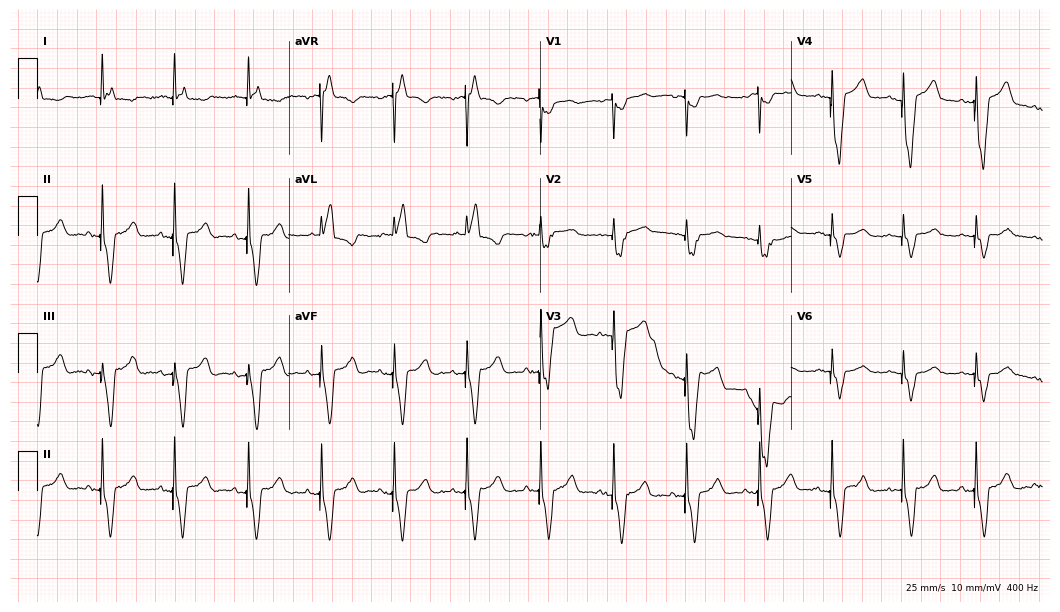
Electrocardiogram, an 83-year-old male. Of the six screened findings (first-degree AV block, right bundle branch block, left bundle branch block, sinus bradycardia, atrial fibrillation, sinus tachycardia), none is recorded. Only these six findings were labelled.